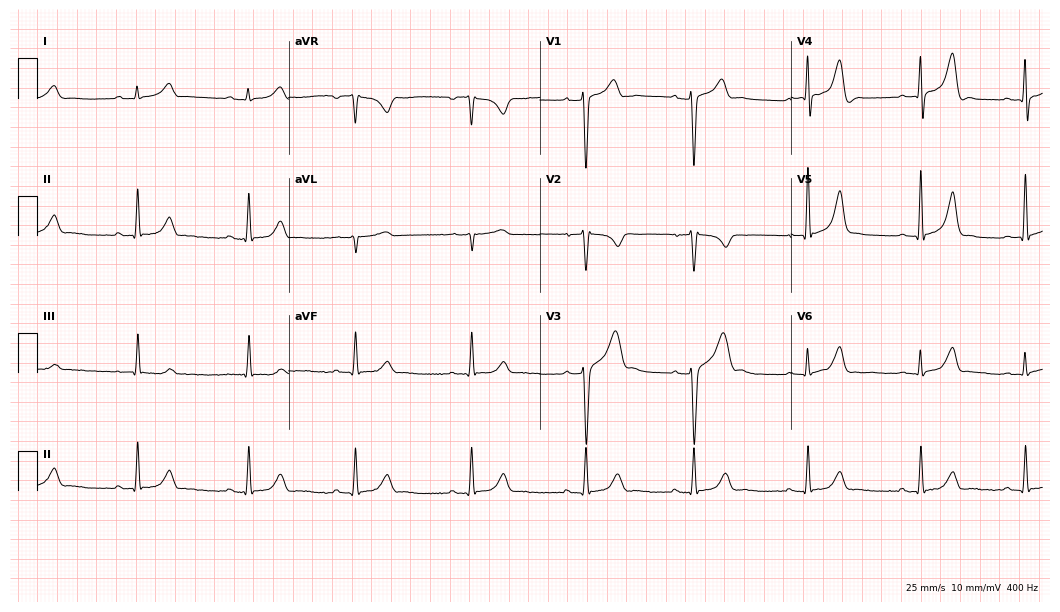
12-lead ECG from a man, 27 years old. Recorded interpretation: within normal limits.